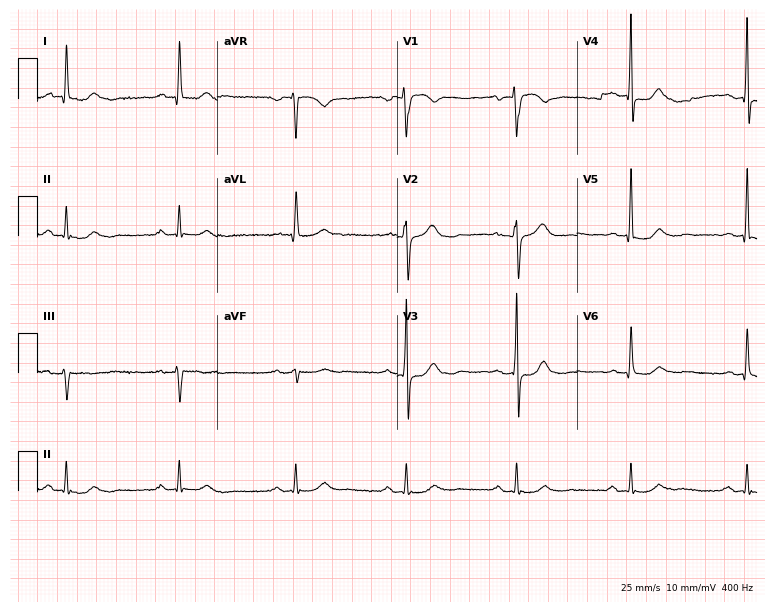
12-lead ECG from an 85-year-old male patient. Screened for six findings — first-degree AV block, right bundle branch block, left bundle branch block, sinus bradycardia, atrial fibrillation, sinus tachycardia — none is recorded.